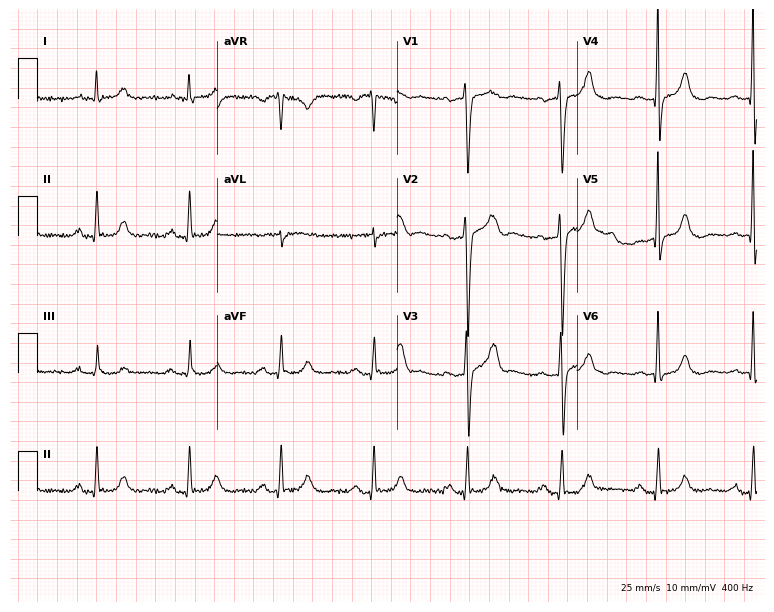
Resting 12-lead electrocardiogram. Patient: a 63-year-old man. The tracing shows first-degree AV block.